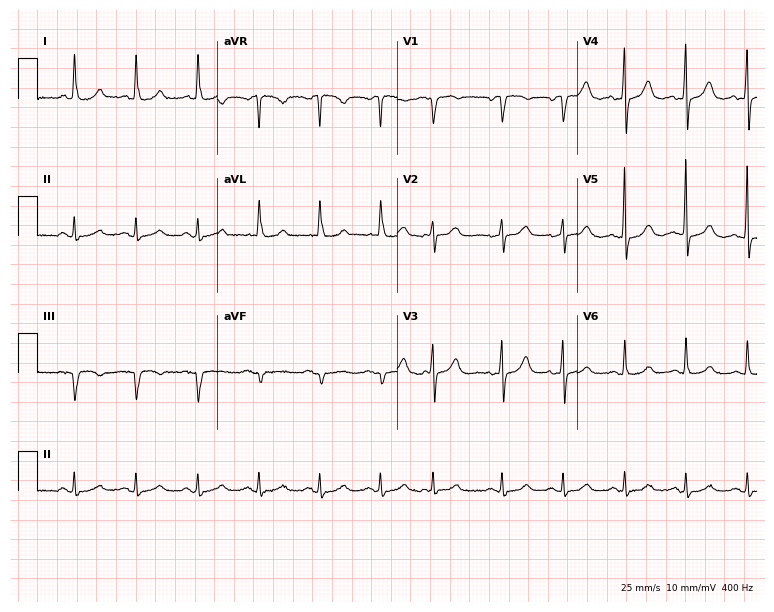
Electrocardiogram (7.3-second recording at 400 Hz), a female, 73 years old. Of the six screened findings (first-degree AV block, right bundle branch block, left bundle branch block, sinus bradycardia, atrial fibrillation, sinus tachycardia), none is recorded.